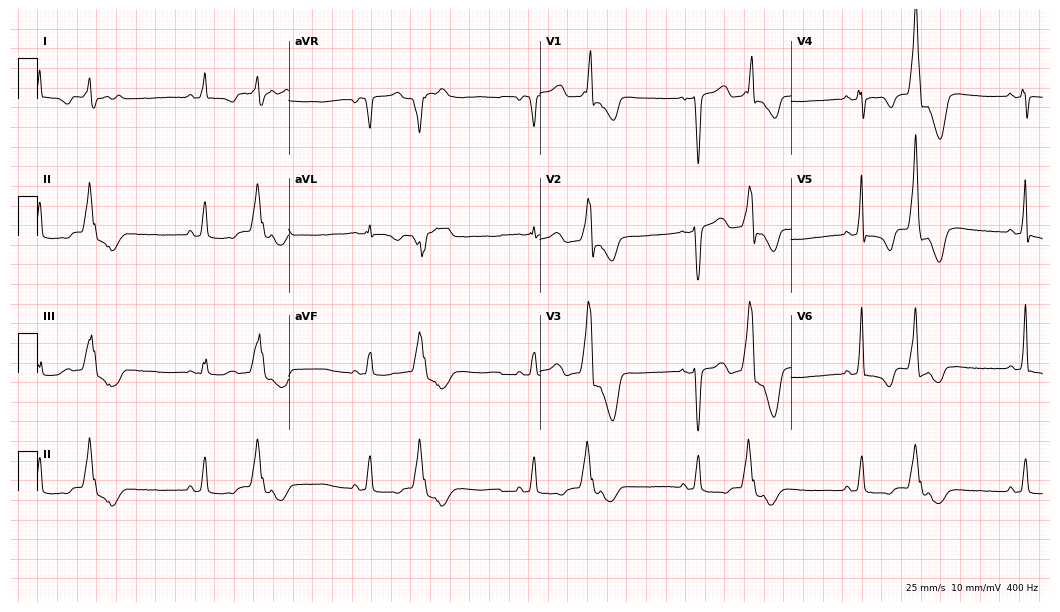
ECG — a female patient, 71 years old. Screened for six findings — first-degree AV block, right bundle branch block, left bundle branch block, sinus bradycardia, atrial fibrillation, sinus tachycardia — none is recorded. Only these six findings were labelled.